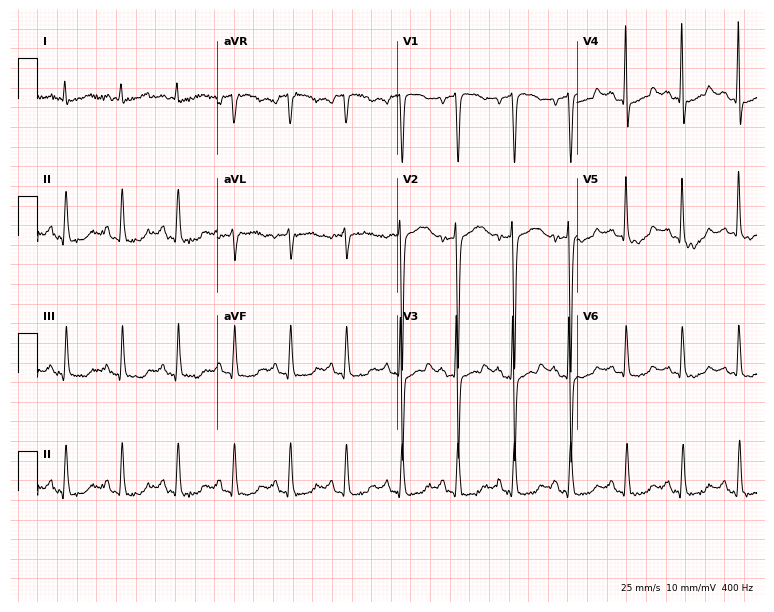
12-lead ECG from a 64-year-old male patient. Screened for six findings — first-degree AV block, right bundle branch block, left bundle branch block, sinus bradycardia, atrial fibrillation, sinus tachycardia — none is recorded. Findings outside these six are not listed.